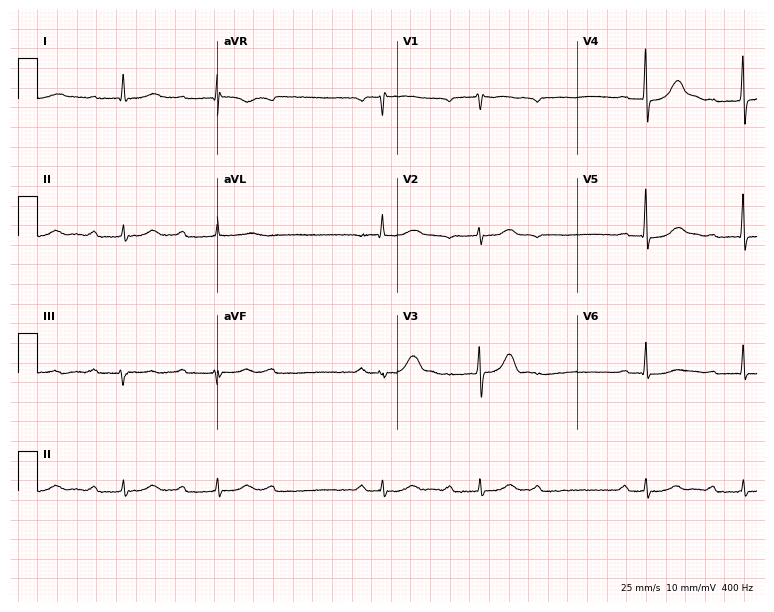
12-lead ECG from a male patient, 73 years old (7.3-second recording at 400 Hz). No first-degree AV block, right bundle branch block, left bundle branch block, sinus bradycardia, atrial fibrillation or sinus tachycardia recorded for this tracing. Only these six findings were labelled.